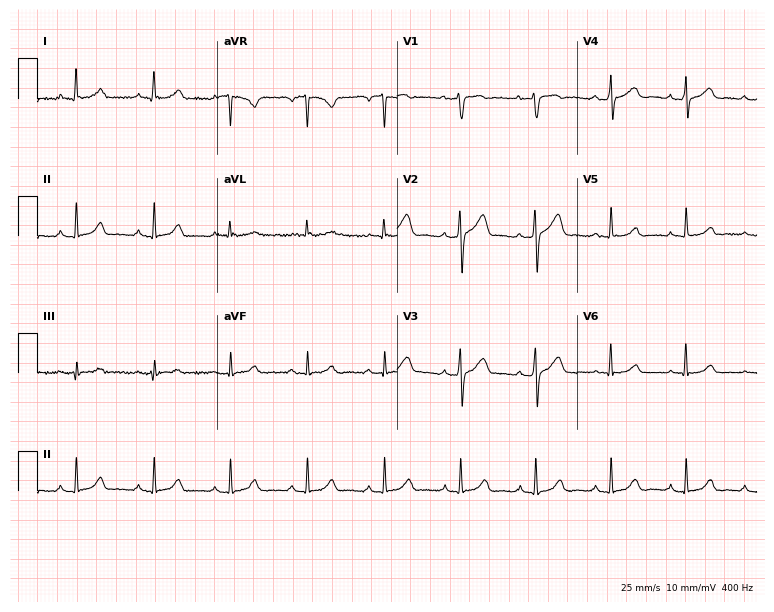
12-lead ECG from a female, 44 years old (7.3-second recording at 400 Hz). No first-degree AV block, right bundle branch block (RBBB), left bundle branch block (LBBB), sinus bradycardia, atrial fibrillation (AF) or sinus tachycardia recorded for this tracing.